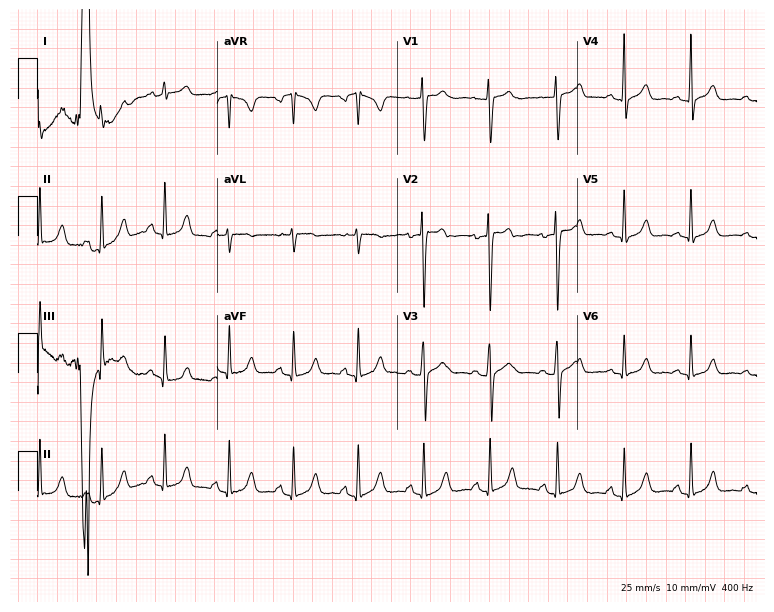
Electrocardiogram, a 23-year-old male patient. Overall reading on record: normal ECG.